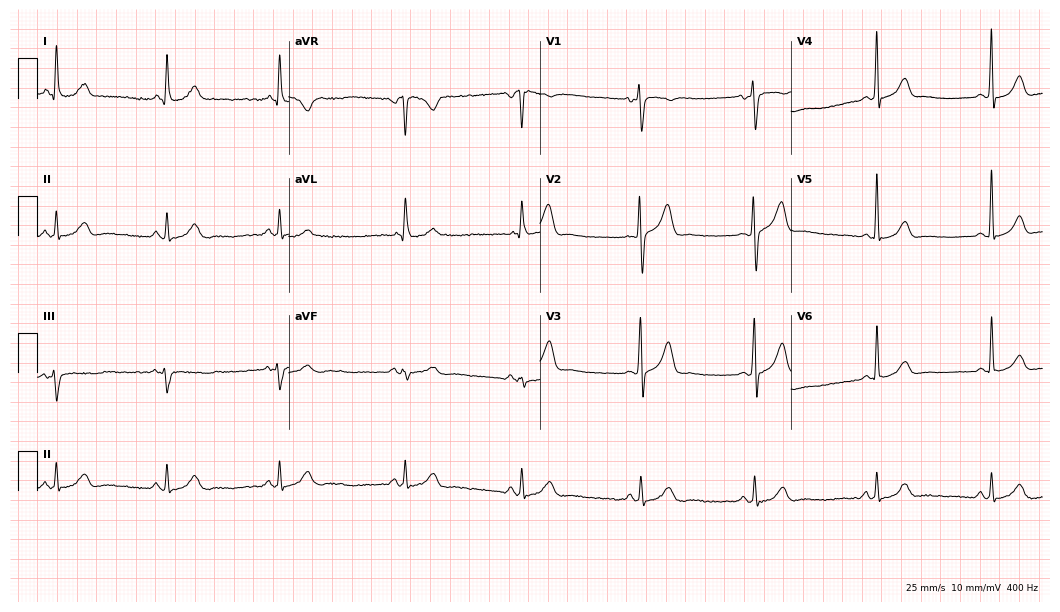
Resting 12-lead electrocardiogram (10.2-second recording at 400 Hz). Patient: a man, 34 years old. None of these six findings is recorded: first-degree AV block, right bundle branch block (RBBB), left bundle branch block (LBBB), sinus bradycardia, atrial fibrillation (AF), sinus tachycardia. Findings outside these six are not listed.